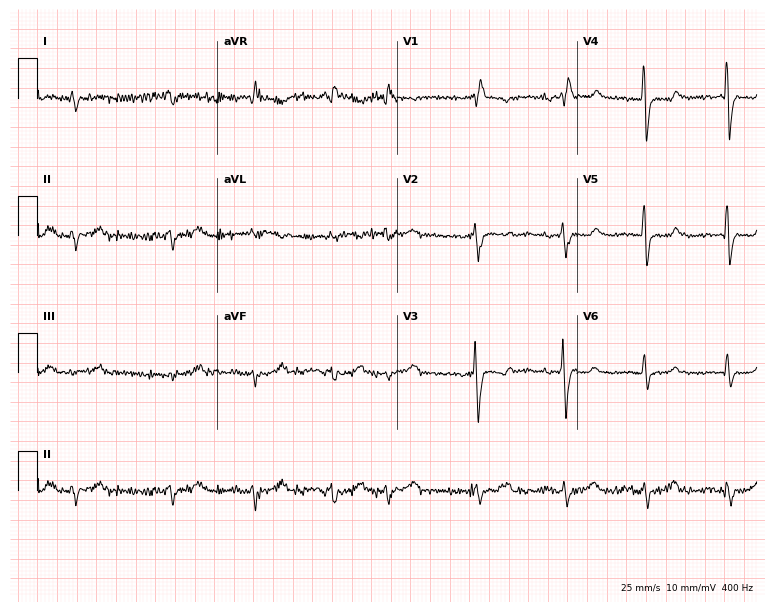
12-lead ECG from a 69-year-old man. Screened for six findings — first-degree AV block, right bundle branch block, left bundle branch block, sinus bradycardia, atrial fibrillation, sinus tachycardia — none is recorded. Other findings, if any, are not listed.